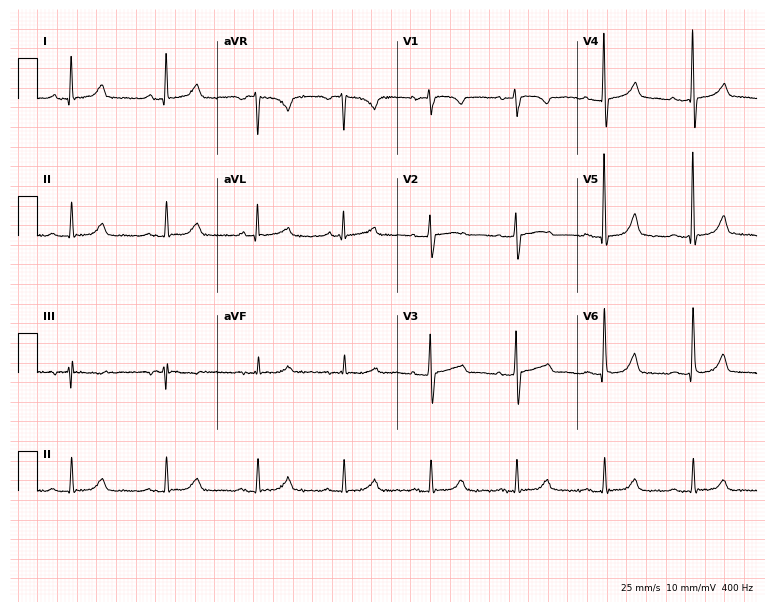
12-lead ECG from a 72-year-old female patient (7.3-second recording at 400 Hz). Recorded interpretation: within normal limits.